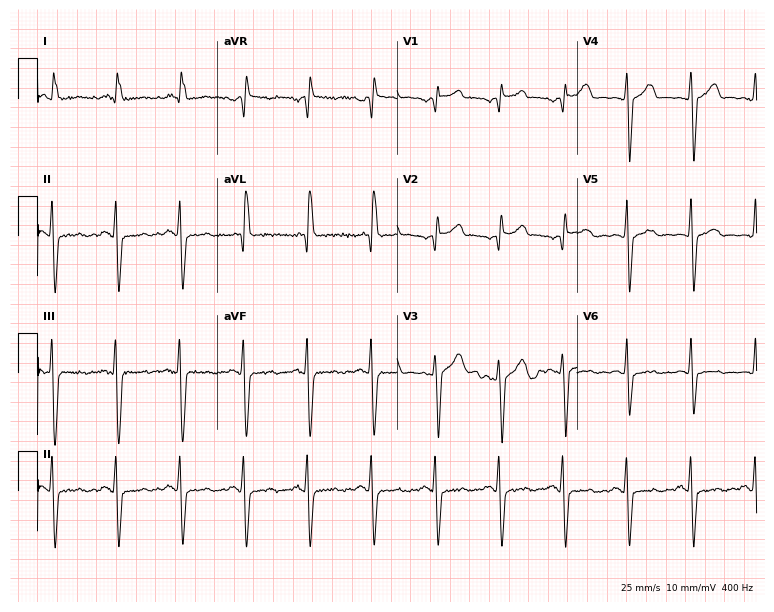
Standard 12-lead ECG recorded from a male patient, 51 years old. None of these six findings is recorded: first-degree AV block, right bundle branch block, left bundle branch block, sinus bradycardia, atrial fibrillation, sinus tachycardia. Other findings, if any, are not listed.